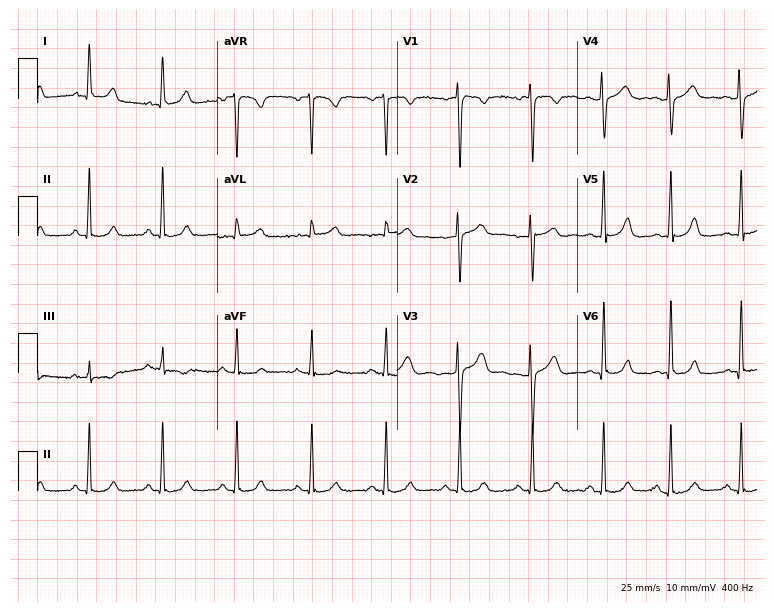
12-lead ECG from a 23-year-old female patient (7.3-second recording at 400 Hz). Recorded interpretation: within normal limits.